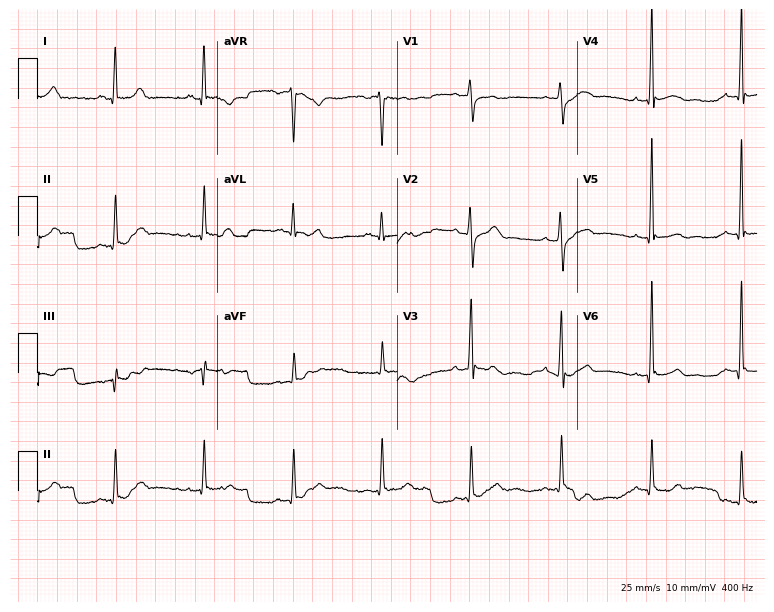
ECG — a 39-year-old male patient. Labelled as a normal ECG.